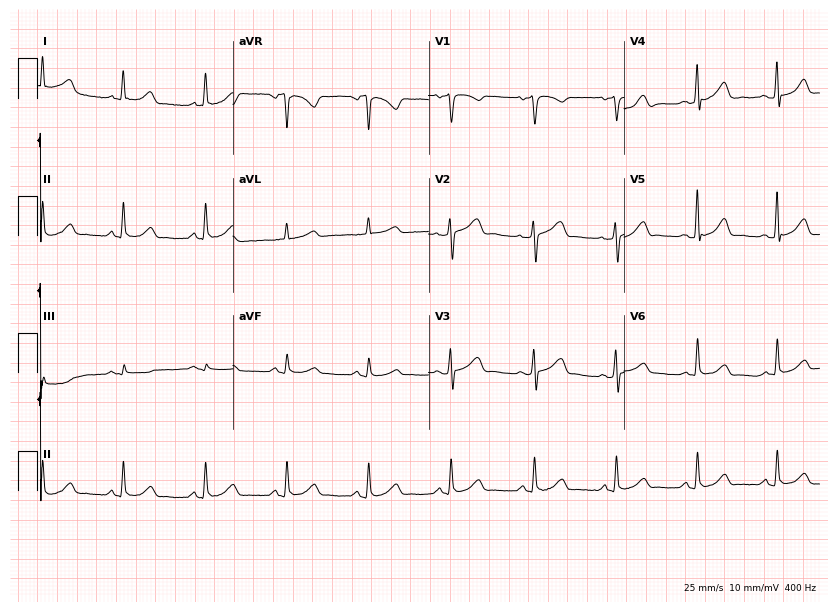
Resting 12-lead electrocardiogram (8-second recording at 400 Hz). Patient: a female, 45 years old. Read as a normal ECG.